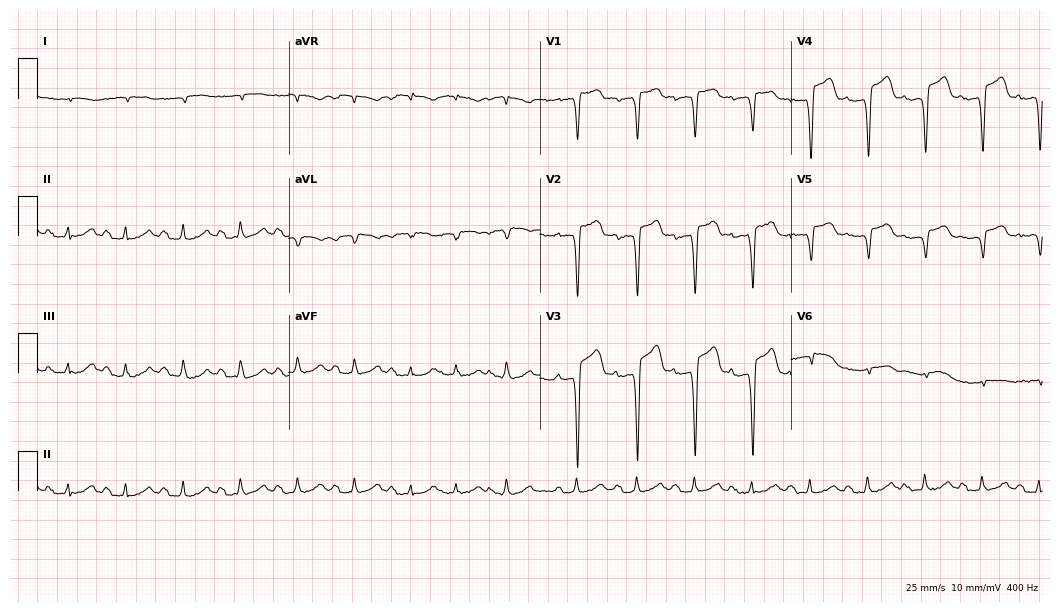
Standard 12-lead ECG recorded from an 84-year-old male patient. The tracing shows sinus tachycardia (a sinus rate of 100 beats per minute or more).